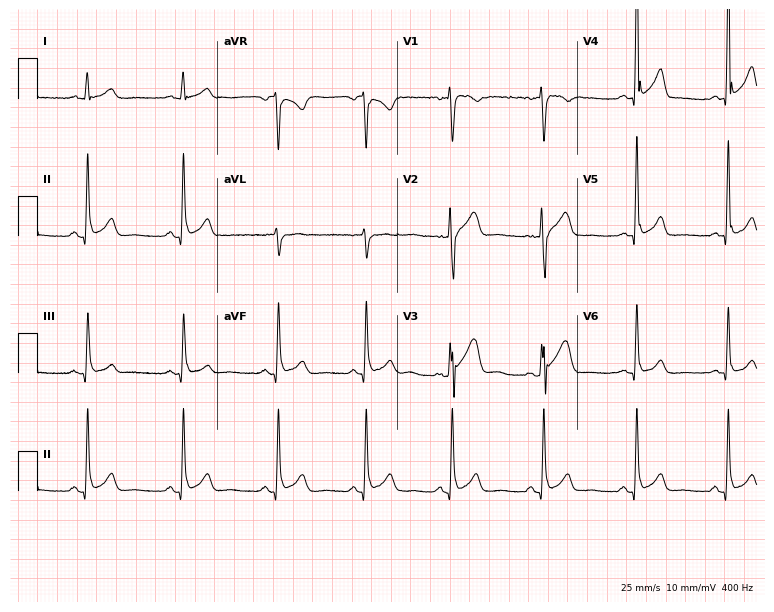
12-lead ECG (7.3-second recording at 400 Hz) from a 40-year-old male. Screened for six findings — first-degree AV block, right bundle branch block, left bundle branch block, sinus bradycardia, atrial fibrillation, sinus tachycardia — none is recorded. Findings outside these six are not listed.